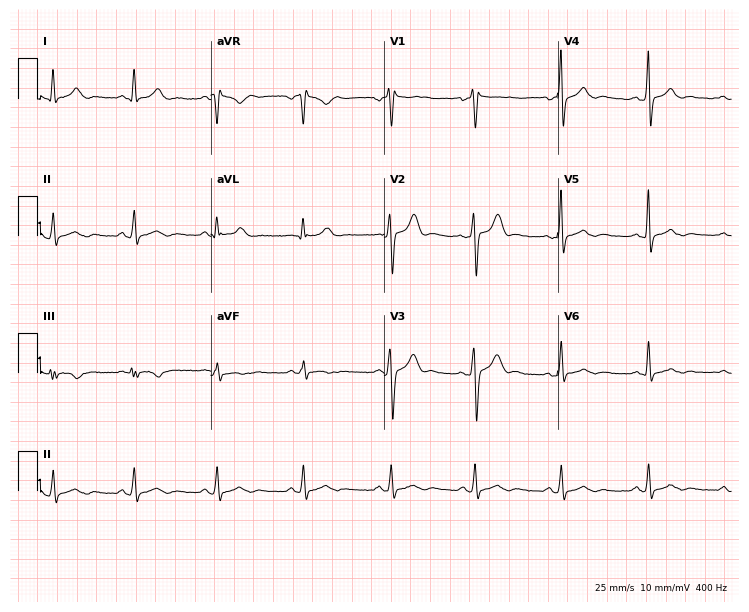
Electrocardiogram (7.1-second recording at 400 Hz), a 35-year-old male. Of the six screened findings (first-degree AV block, right bundle branch block, left bundle branch block, sinus bradycardia, atrial fibrillation, sinus tachycardia), none is recorded. Findings outside these six are not listed.